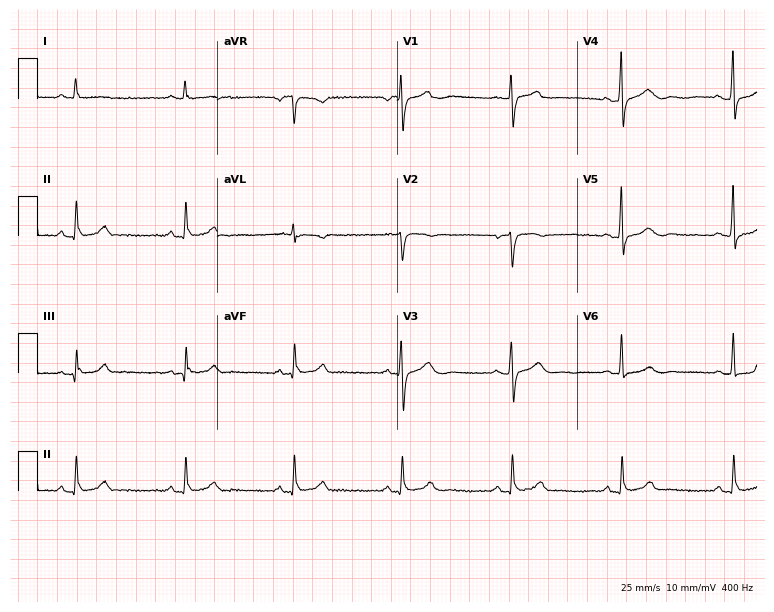
Resting 12-lead electrocardiogram (7.3-second recording at 400 Hz). Patient: a male, 78 years old. None of these six findings is recorded: first-degree AV block, right bundle branch block, left bundle branch block, sinus bradycardia, atrial fibrillation, sinus tachycardia. Other findings, if any, are not listed.